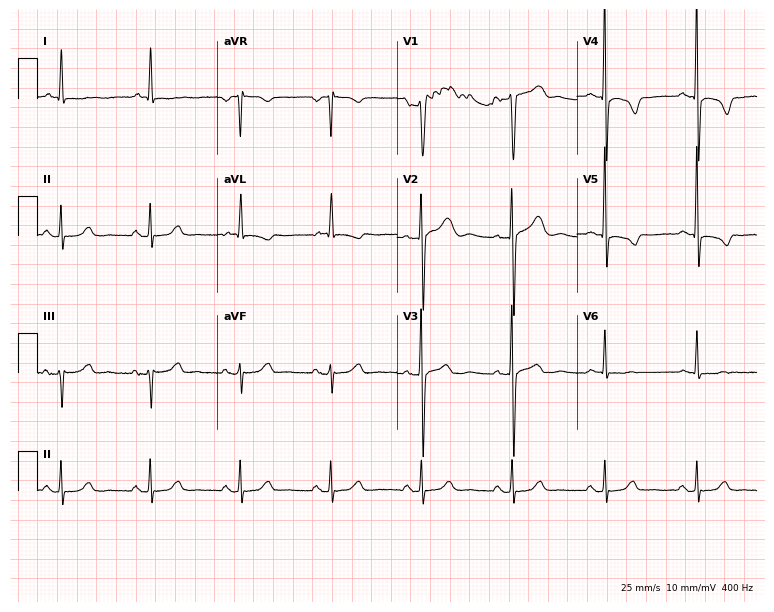
Resting 12-lead electrocardiogram. Patient: a woman, 72 years old. None of these six findings is recorded: first-degree AV block, right bundle branch block, left bundle branch block, sinus bradycardia, atrial fibrillation, sinus tachycardia.